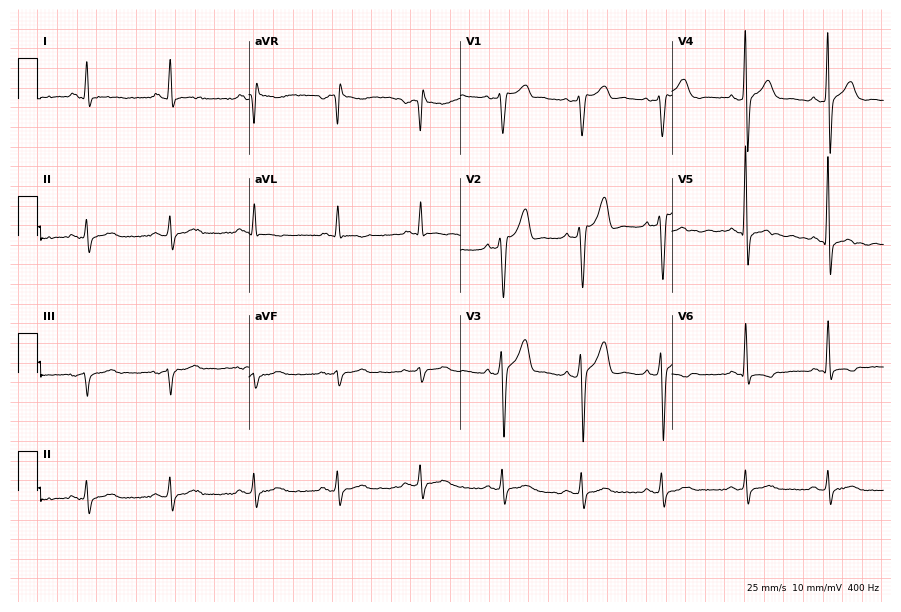
12-lead ECG from a male, 43 years old. Screened for six findings — first-degree AV block, right bundle branch block, left bundle branch block, sinus bradycardia, atrial fibrillation, sinus tachycardia — none is recorded.